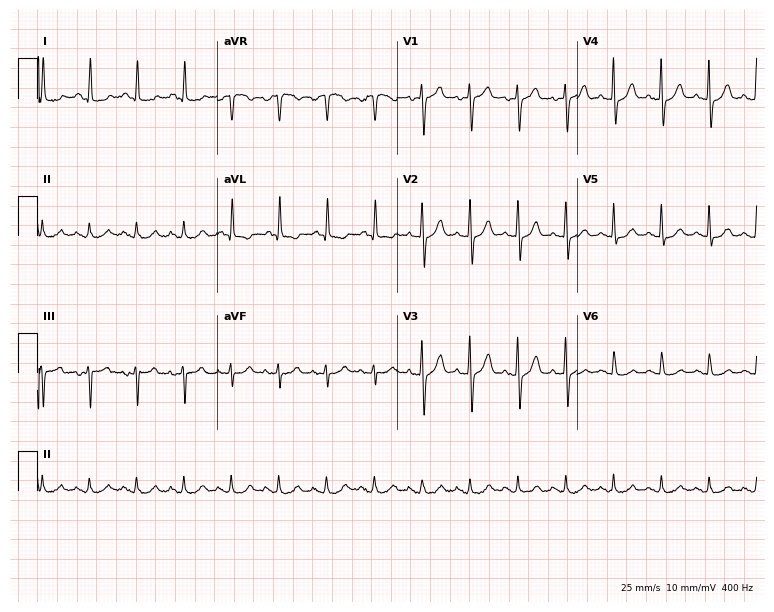
12-lead ECG from a 54-year-old female patient. Shows sinus tachycardia (a sinus rate of 100 beats per minute or more).